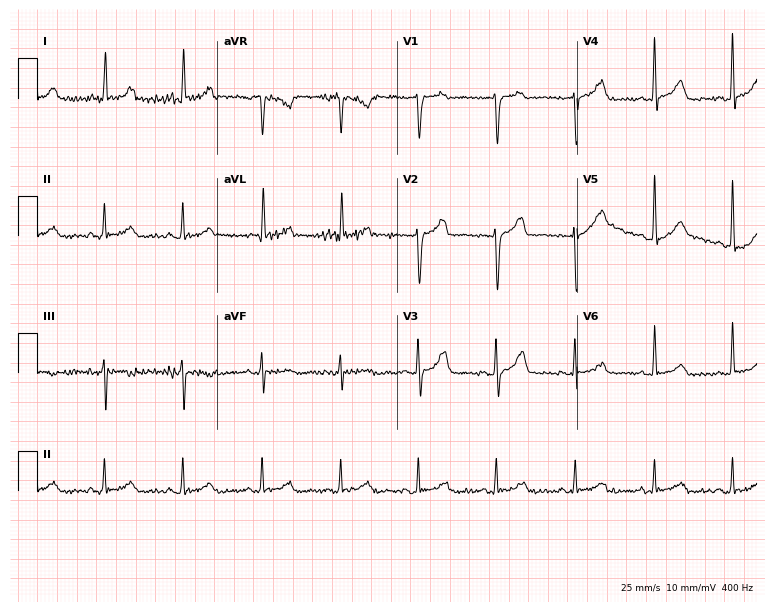
Electrocardiogram (7.3-second recording at 400 Hz), a 77-year-old woman. Of the six screened findings (first-degree AV block, right bundle branch block, left bundle branch block, sinus bradycardia, atrial fibrillation, sinus tachycardia), none is recorded. Findings outside these six are not listed.